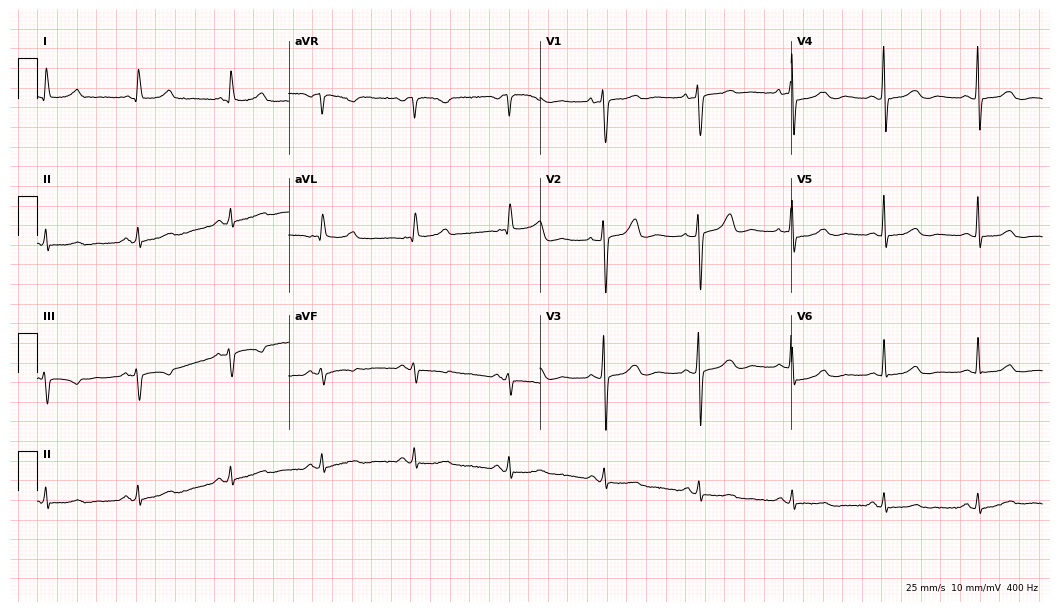
Electrocardiogram (10.2-second recording at 400 Hz), a female, 69 years old. Overall reading on record: normal ECG.